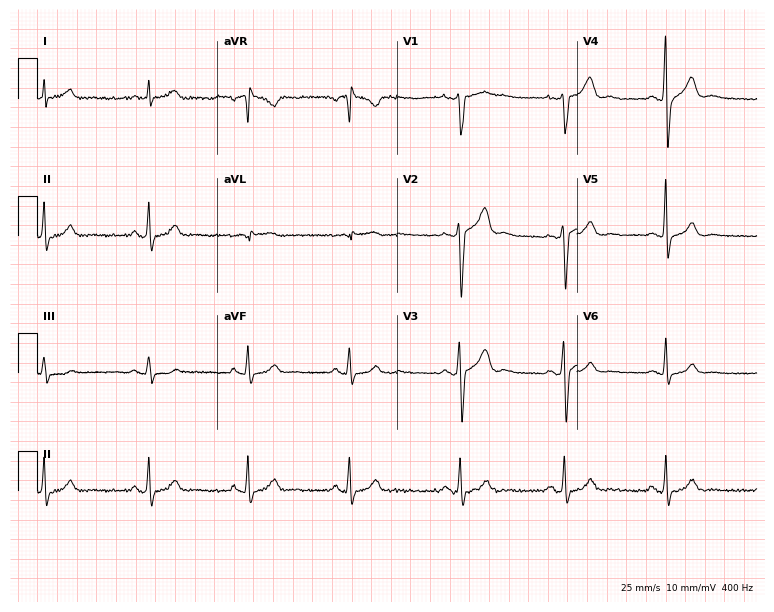
ECG — a male patient, 42 years old. Screened for six findings — first-degree AV block, right bundle branch block (RBBB), left bundle branch block (LBBB), sinus bradycardia, atrial fibrillation (AF), sinus tachycardia — none is recorded.